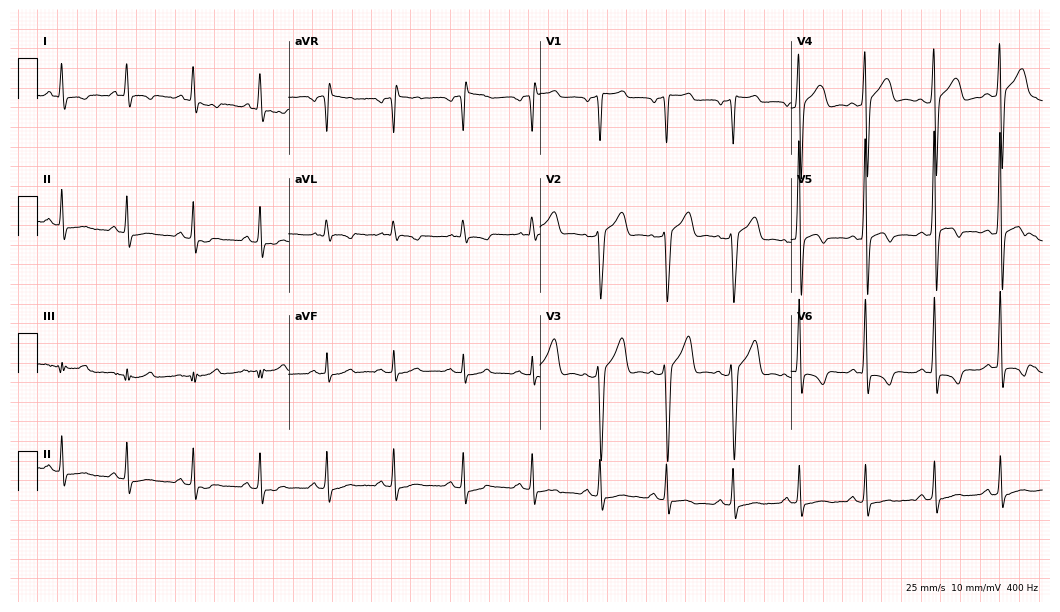
Electrocardiogram, a 40-year-old male patient. Of the six screened findings (first-degree AV block, right bundle branch block (RBBB), left bundle branch block (LBBB), sinus bradycardia, atrial fibrillation (AF), sinus tachycardia), none is recorded. Only these six findings were labelled.